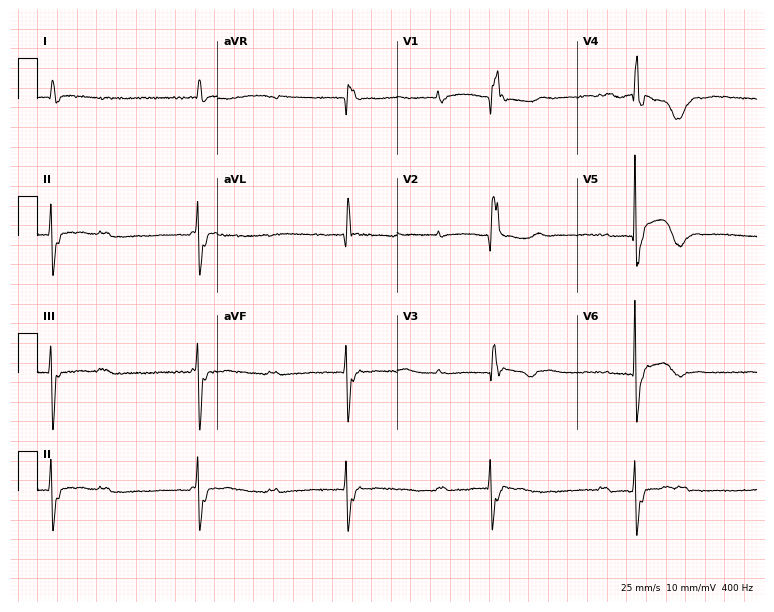
12-lead ECG from a woman, 77 years old (7.3-second recording at 400 Hz). Shows first-degree AV block, right bundle branch block (RBBB).